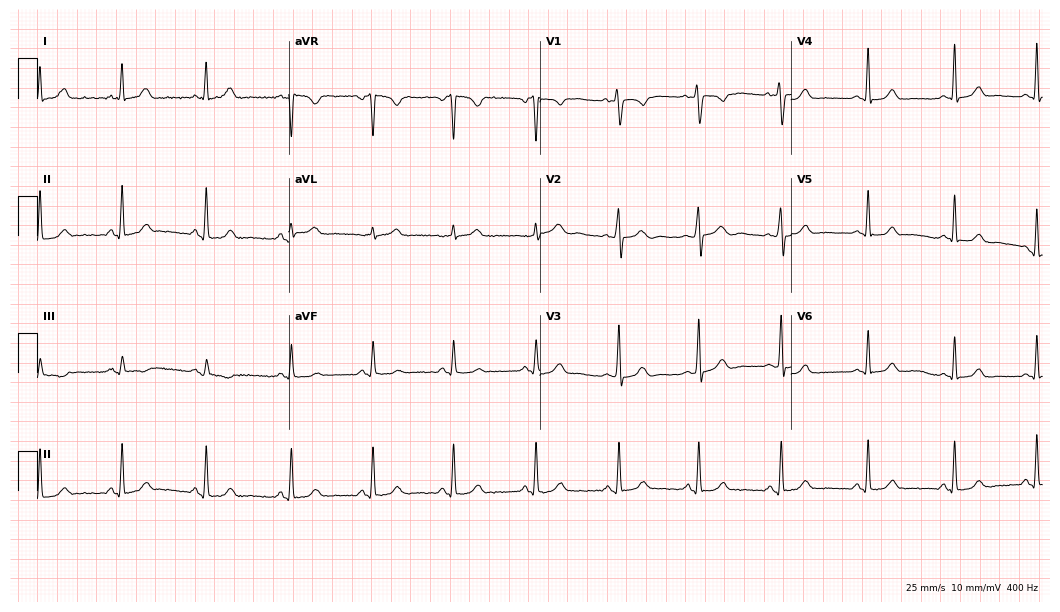
Resting 12-lead electrocardiogram (10.2-second recording at 400 Hz). Patient: a female, 33 years old. Read as a normal ECG.